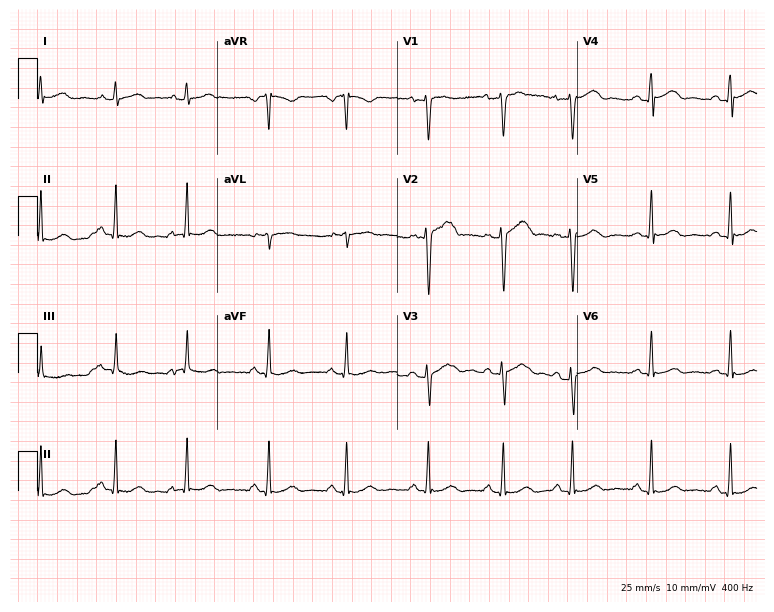
Resting 12-lead electrocardiogram (7.3-second recording at 400 Hz). Patient: a female, 34 years old. Read as a normal ECG.